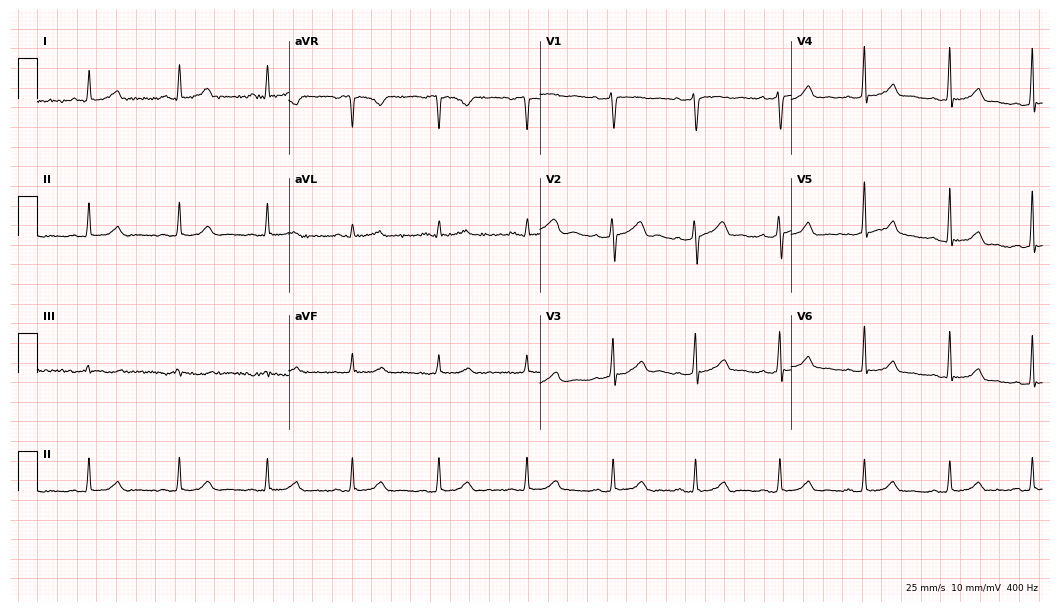
Electrocardiogram, a woman, 38 years old. Overall reading on record: normal ECG.